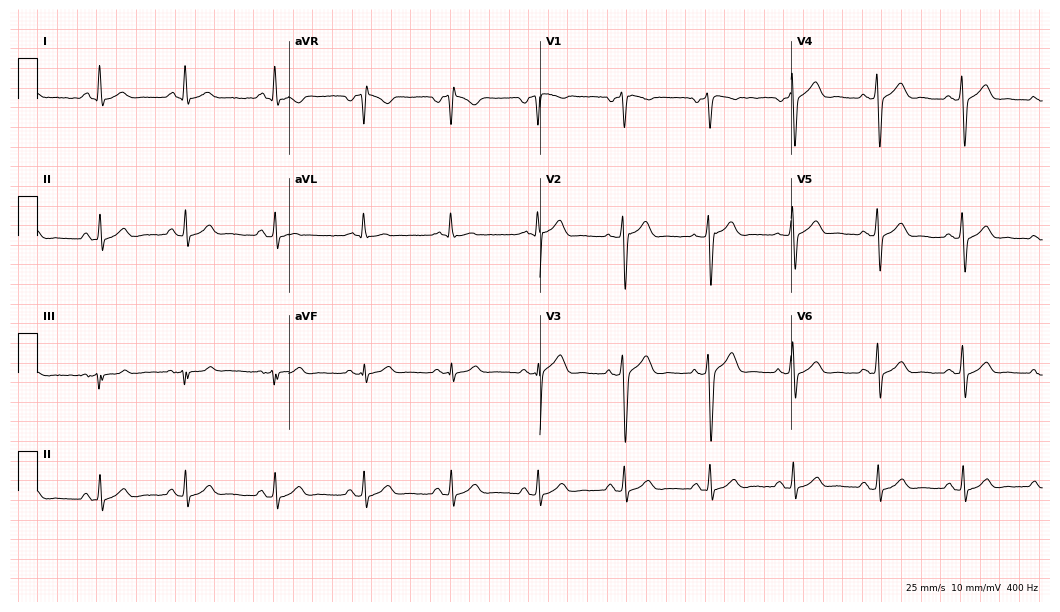
12-lead ECG from a 55-year-old man. Labelled as a normal ECG.